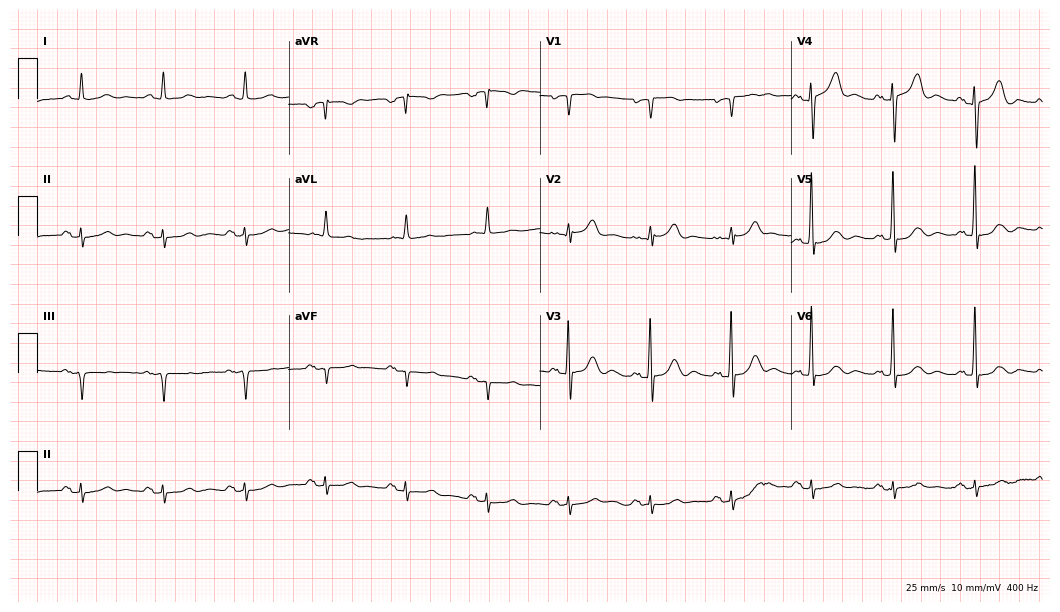
12-lead ECG from an 84-year-old man (10.2-second recording at 400 Hz). Recorded interpretation: within normal limits.